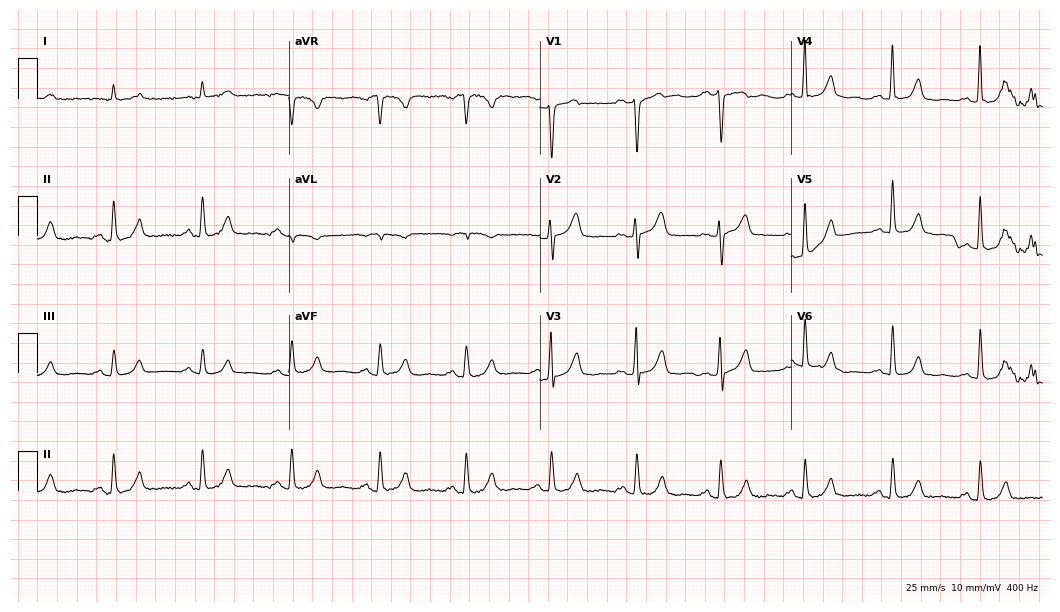
Resting 12-lead electrocardiogram. Patient: a 79-year-old male. Read as a normal ECG.